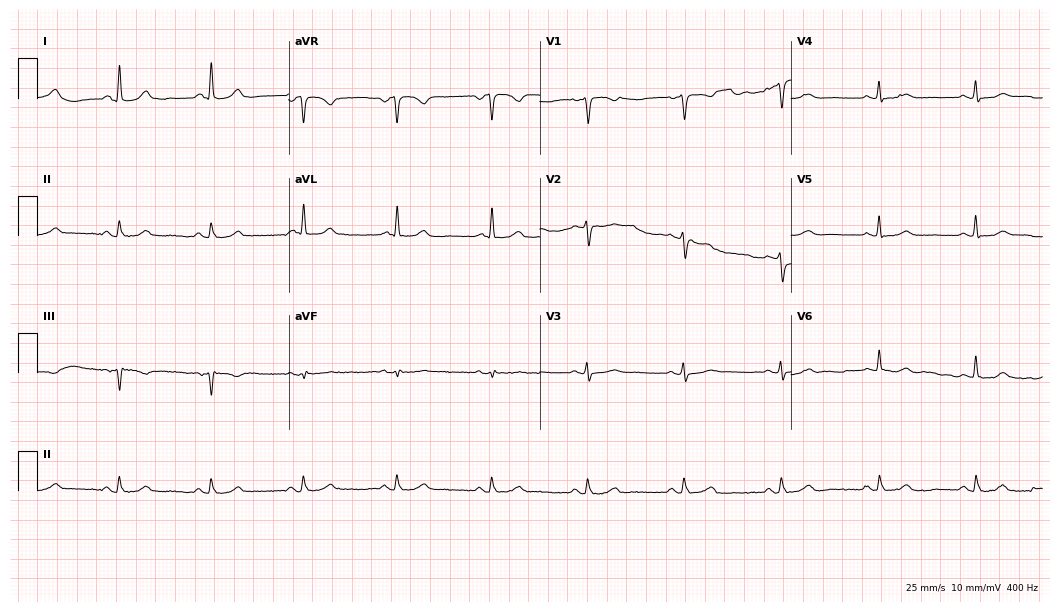
12-lead ECG from a female, 58 years old. Labelled as a normal ECG.